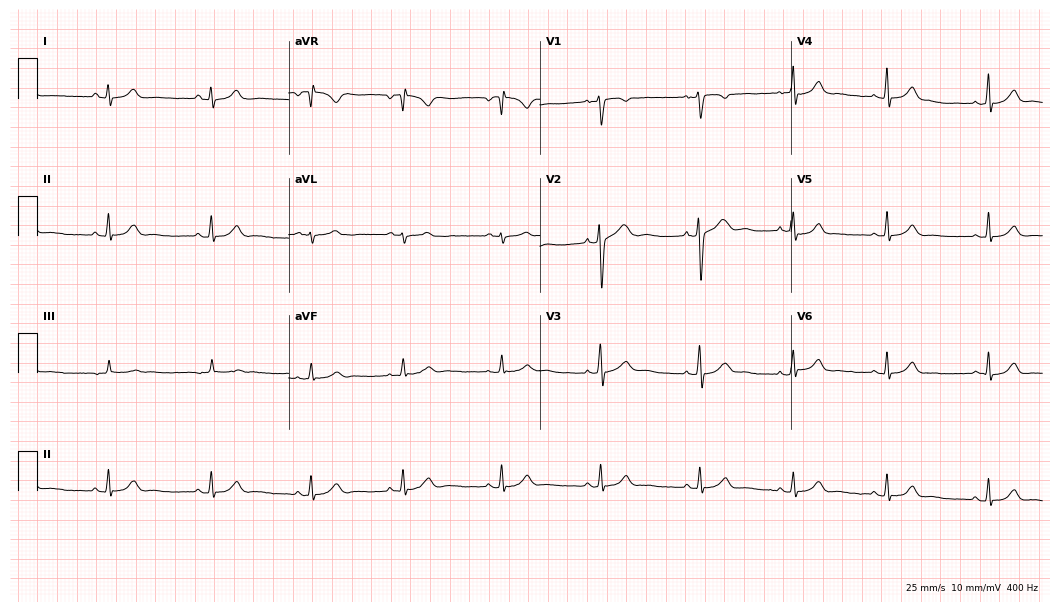
ECG (10.2-second recording at 400 Hz) — a woman, 17 years old. Screened for six findings — first-degree AV block, right bundle branch block, left bundle branch block, sinus bradycardia, atrial fibrillation, sinus tachycardia — none is recorded. Only these six findings were labelled.